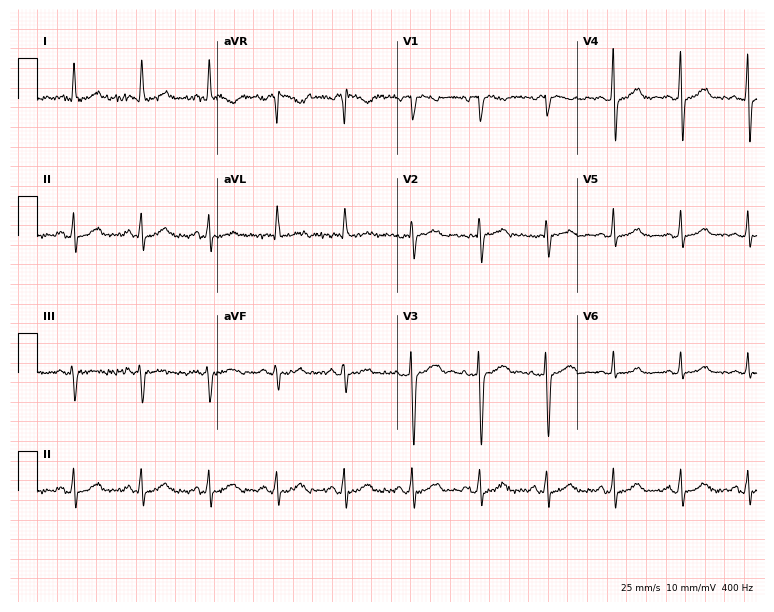
12-lead ECG from a 49-year-old female patient. Labelled as a normal ECG.